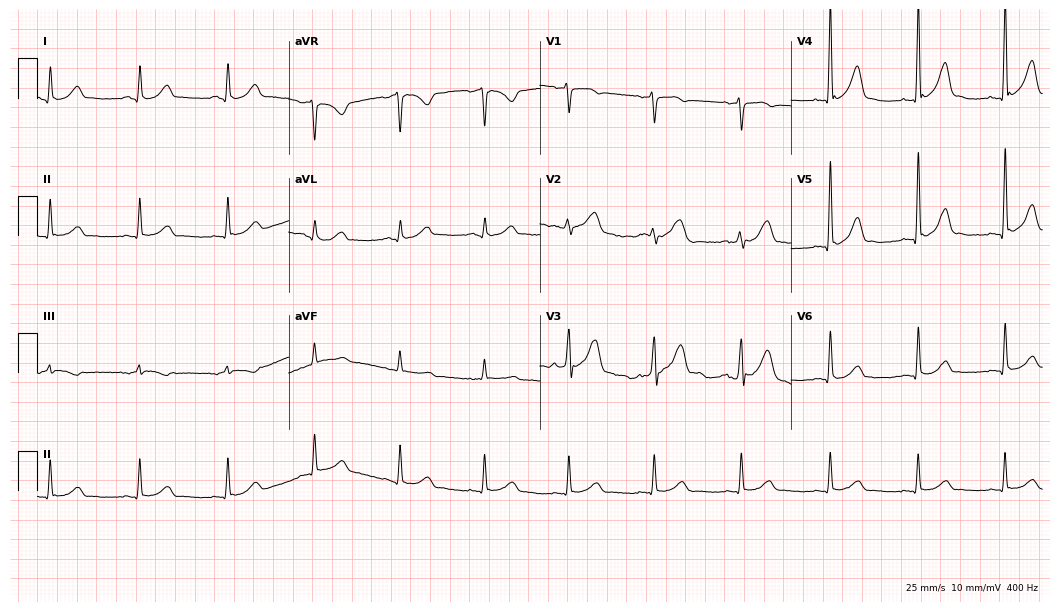
Resting 12-lead electrocardiogram. Patient: a man, 41 years old. Read as a normal ECG.